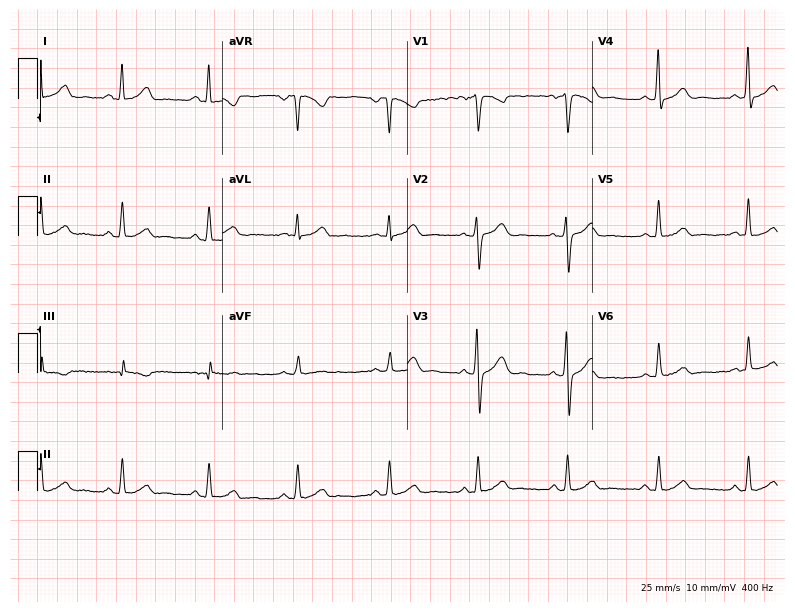
12-lead ECG from a woman, 35 years old. Screened for six findings — first-degree AV block, right bundle branch block, left bundle branch block, sinus bradycardia, atrial fibrillation, sinus tachycardia — none is recorded. Findings outside these six are not listed.